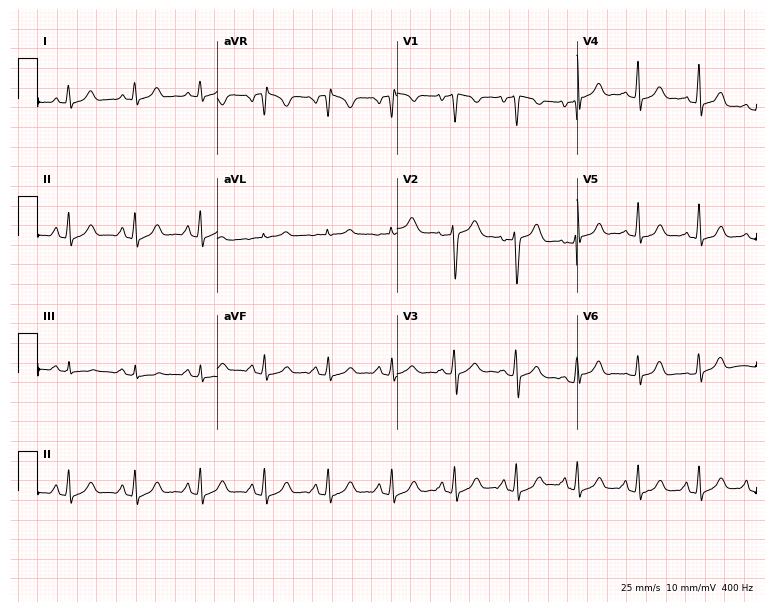
12-lead ECG from a 22-year-old female (7.3-second recording at 400 Hz). No first-degree AV block, right bundle branch block (RBBB), left bundle branch block (LBBB), sinus bradycardia, atrial fibrillation (AF) or sinus tachycardia recorded for this tracing. Findings outside these six are not listed.